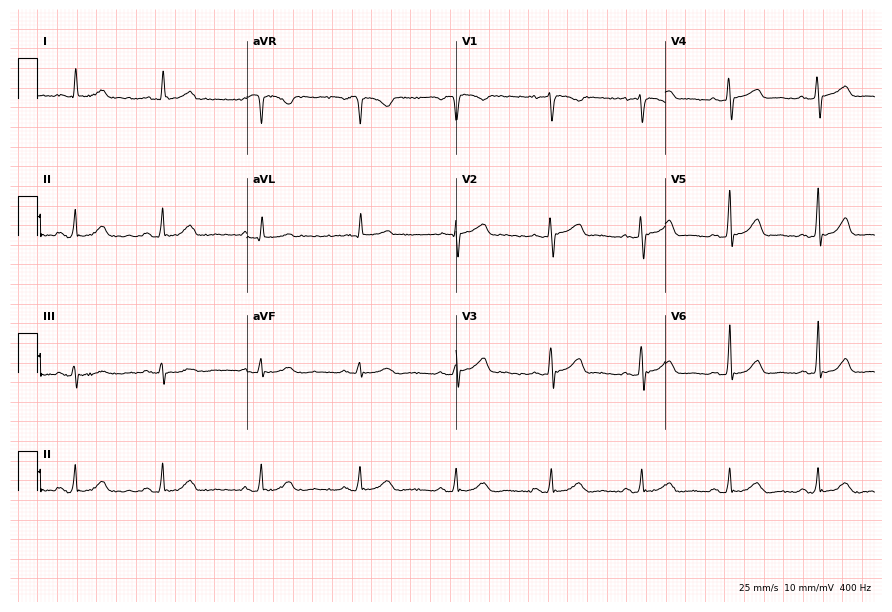
ECG — a 50-year-old female. Labelled as a normal ECG.